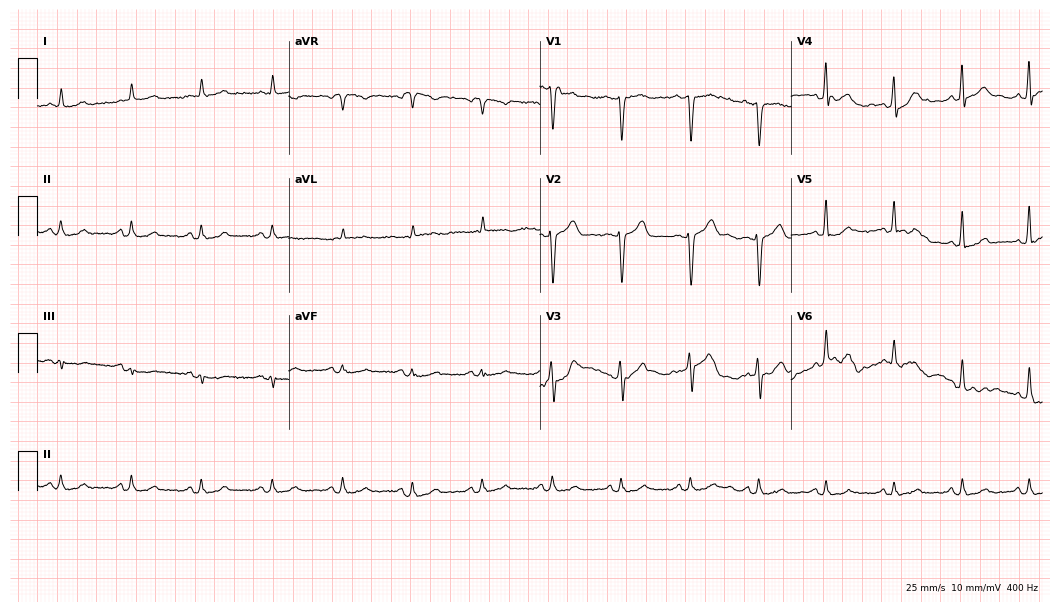
Resting 12-lead electrocardiogram. Patient: a 69-year-old male. Read as a normal ECG.